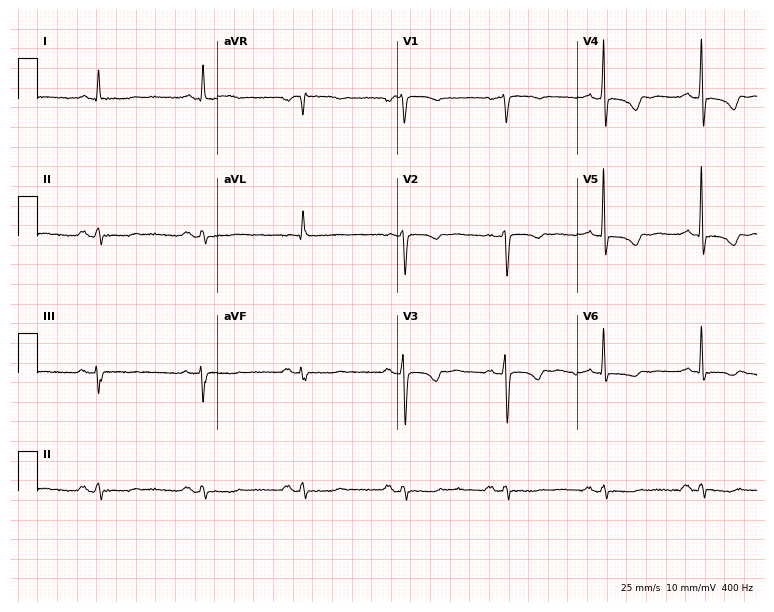
Resting 12-lead electrocardiogram (7.3-second recording at 400 Hz). Patient: a 78-year-old woman. None of these six findings is recorded: first-degree AV block, right bundle branch block, left bundle branch block, sinus bradycardia, atrial fibrillation, sinus tachycardia.